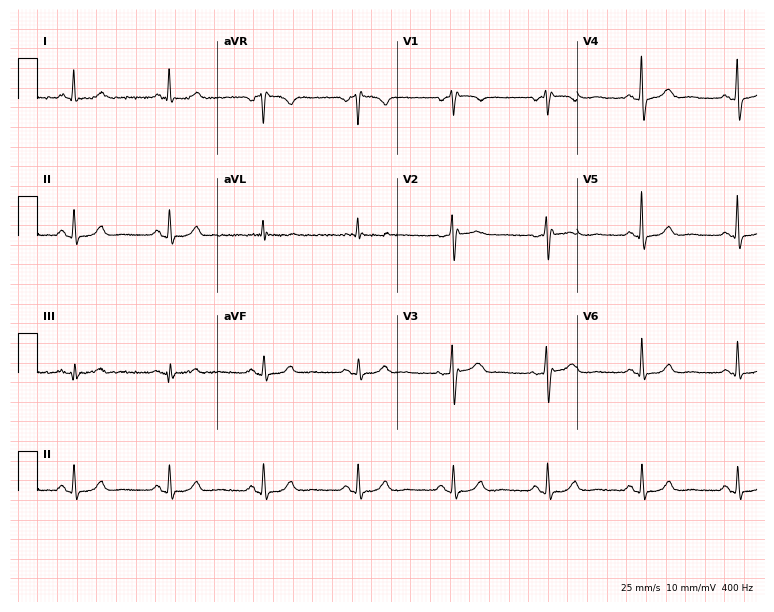
12-lead ECG from a woman, 67 years old. Labelled as a normal ECG.